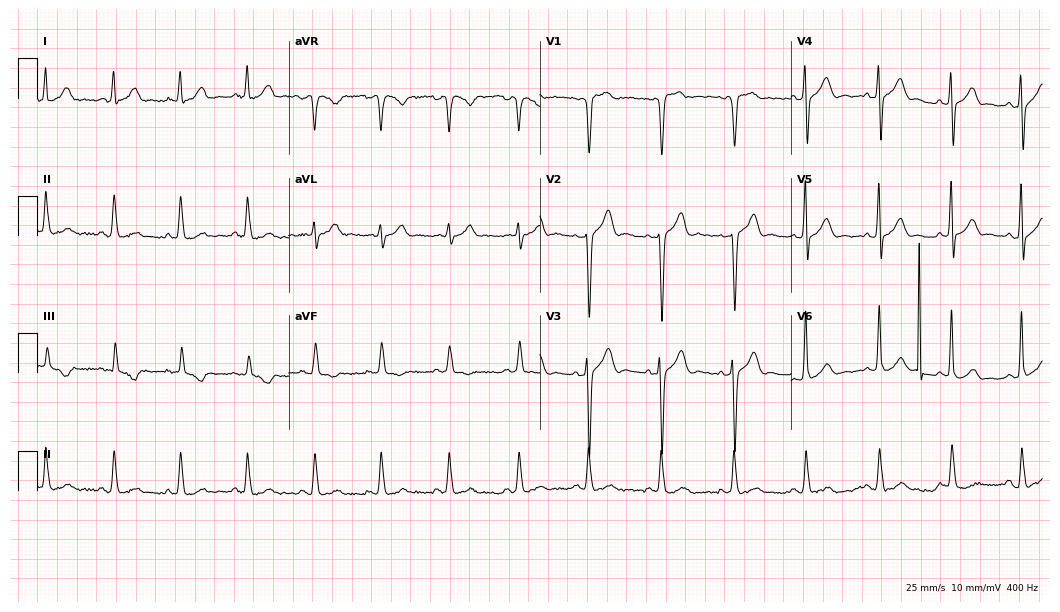
12-lead ECG from a 44-year-old male. Recorded interpretation: within normal limits.